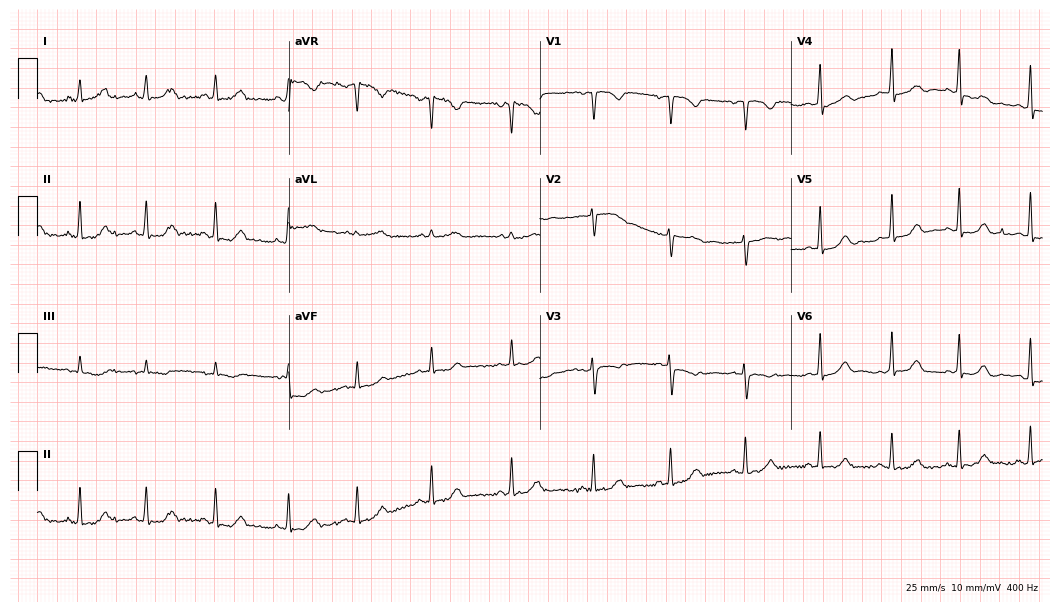
Resting 12-lead electrocardiogram. Patient: a 37-year-old female. None of these six findings is recorded: first-degree AV block, right bundle branch block (RBBB), left bundle branch block (LBBB), sinus bradycardia, atrial fibrillation (AF), sinus tachycardia.